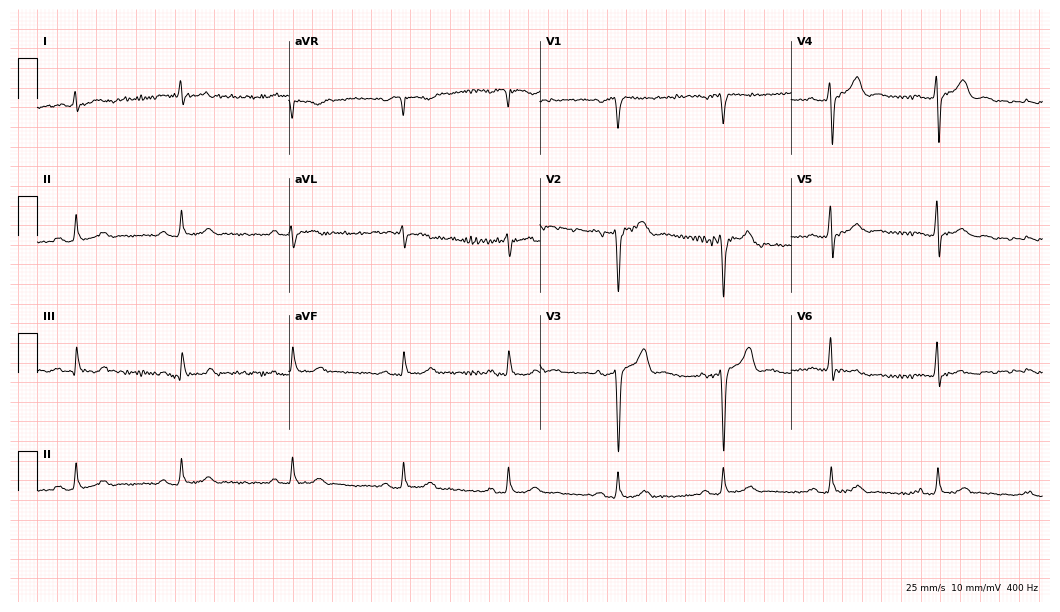
ECG — a man, 63 years old. Screened for six findings — first-degree AV block, right bundle branch block (RBBB), left bundle branch block (LBBB), sinus bradycardia, atrial fibrillation (AF), sinus tachycardia — none is recorded.